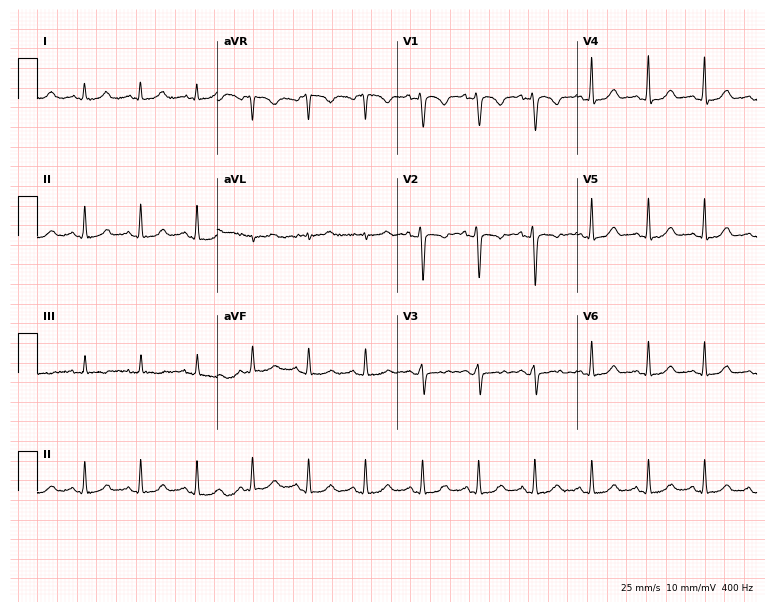
Electrocardiogram (7.3-second recording at 400 Hz), a 37-year-old woman. Interpretation includes sinus tachycardia (a sinus rate of 100 beats per minute or more).